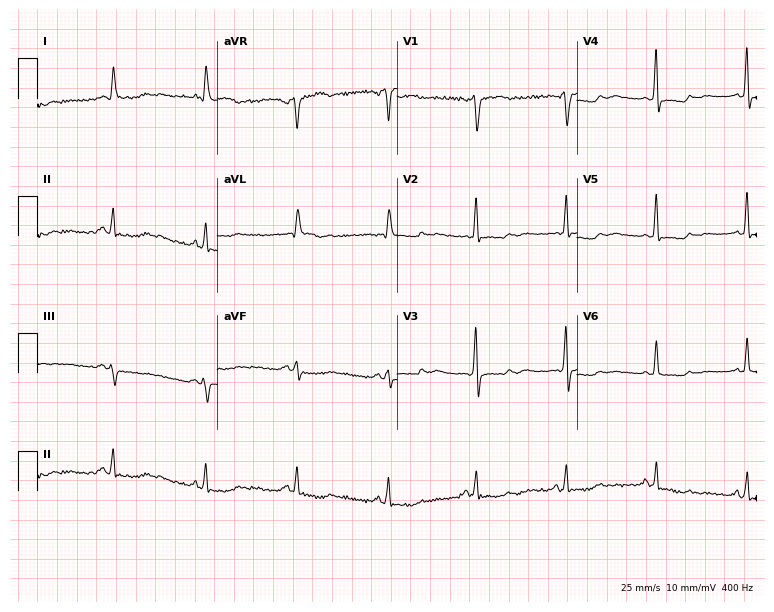
12-lead ECG from a 59-year-old female patient (7.3-second recording at 400 Hz). No first-degree AV block, right bundle branch block, left bundle branch block, sinus bradycardia, atrial fibrillation or sinus tachycardia recorded for this tracing.